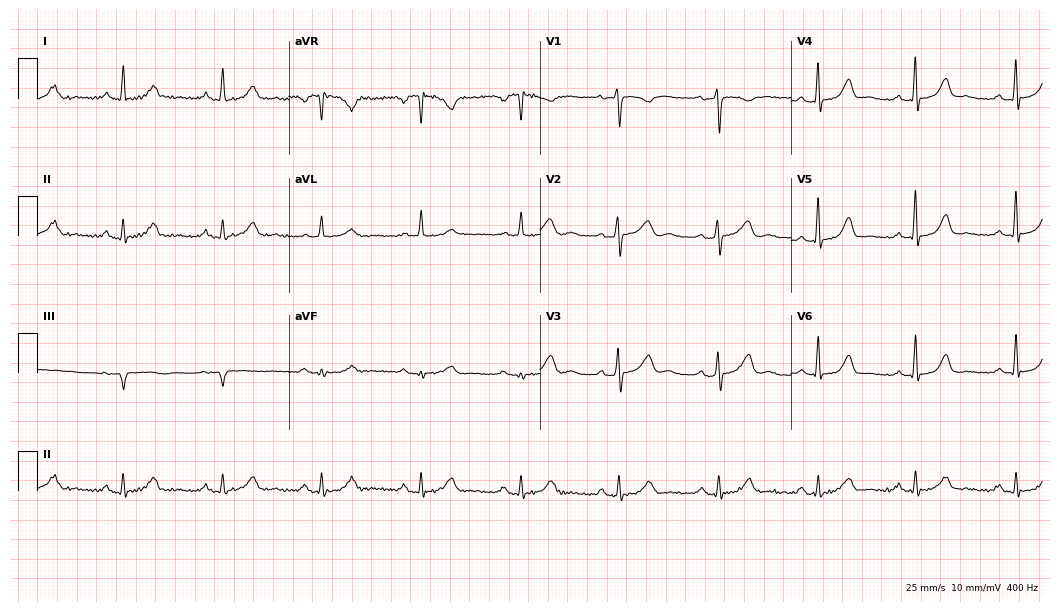
Electrocardiogram, a woman, 50 years old. Overall reading on record: normal ECG.